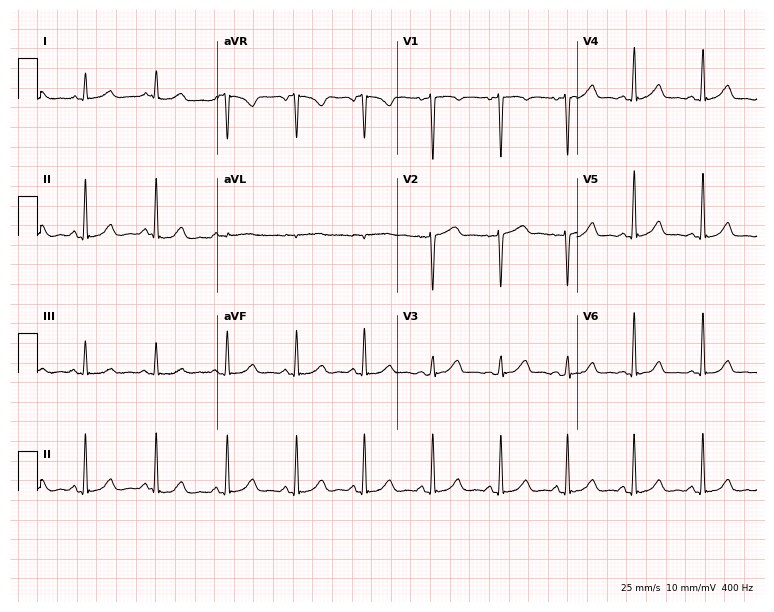
Standard 12-lead ECG recorded from a female patient, 50 years old (7.3-second recording at 400 Hz). None of these six findings is recorded: first-degree AV block, right bundle branch block, left bundle branch block, sinus bradycardia, atrial fibrillation, sinus tachycardia. Only these six findings were labelled.